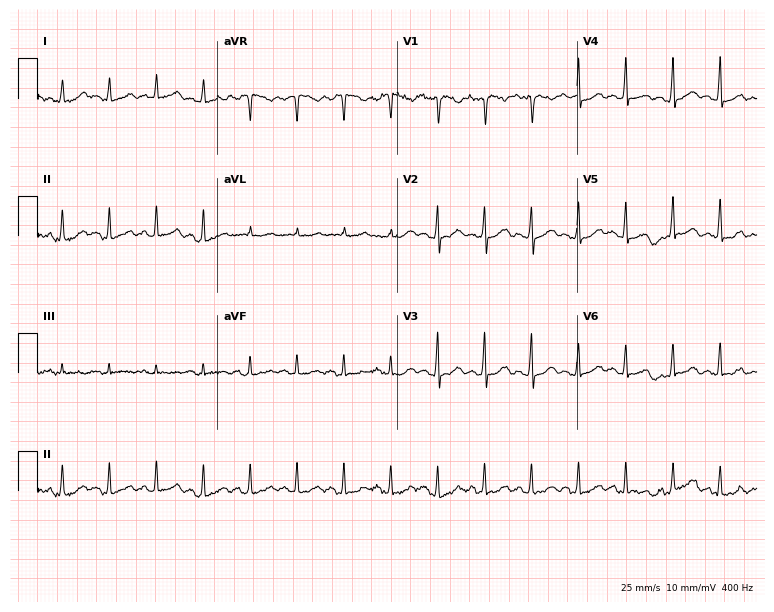
Standard 12-lead ECG recorded from a 38-year-old female patient. The tracing shows sinus tachycardia (a sinus rate of 100 beats per minute or more).